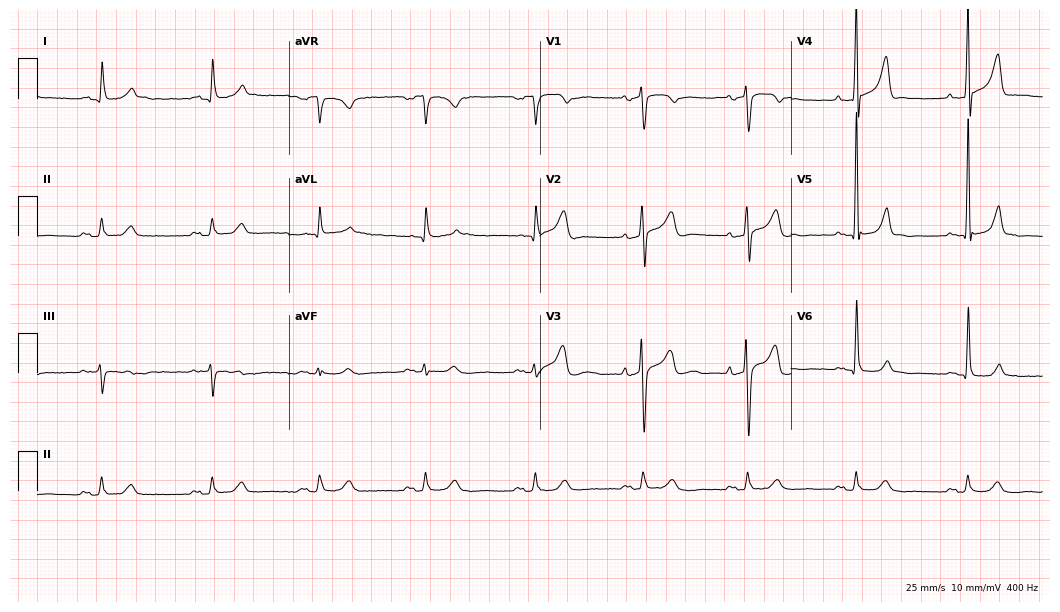
12-lead ECG from a 67-year-old male patient. Screened for six findings — first-degree AV block, right bundle branch block, left bundle branch block, sinus bradycardia, atrial fibrillation, sinus tachycardia — none is recorded. Findings outside these six are not listed.